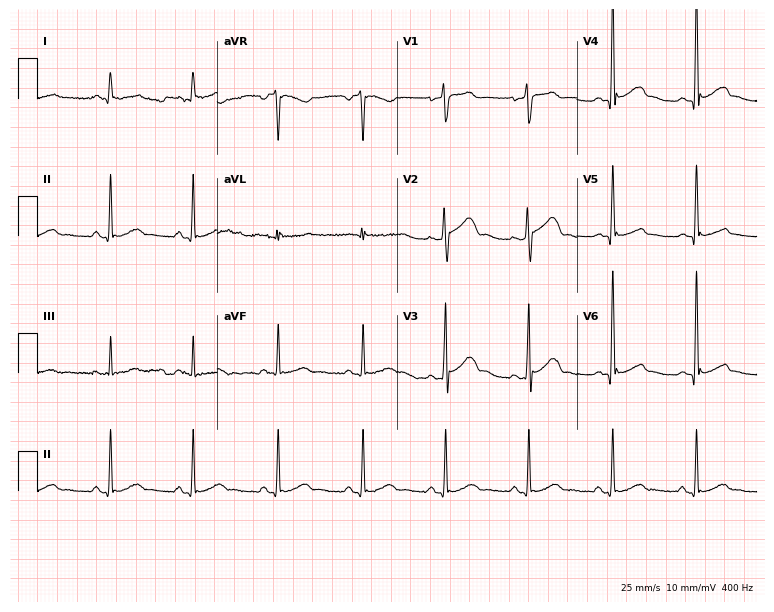
ECG — a male patient, 51 years old. Labelled as a normal ECG.